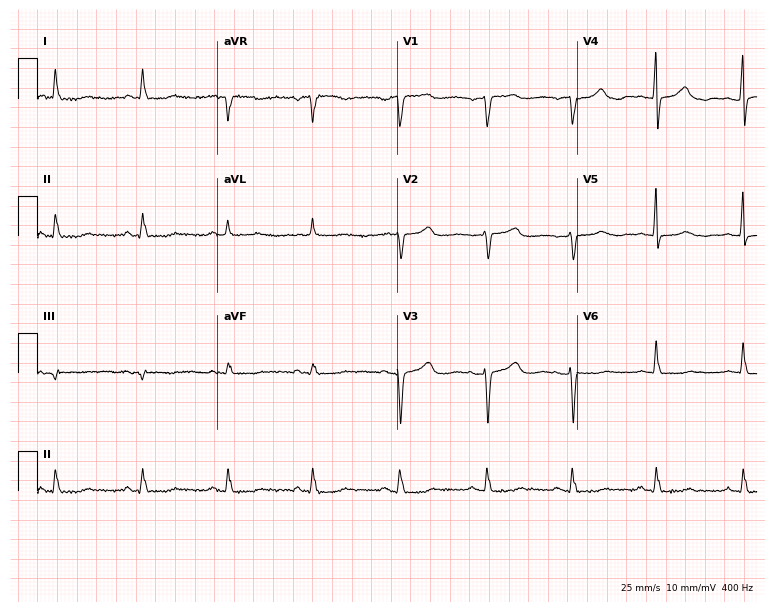
12-lead ECG (7.3-second recording at 400 Hz) from a female, 70 years old. Screened for six findings — first-degree AV block, right bundle branch block (RBBB), left bundle branch block (LBBB), sinus bradycardia, atrial fibrillation (AF), sinus tachycardia — none is recorded.